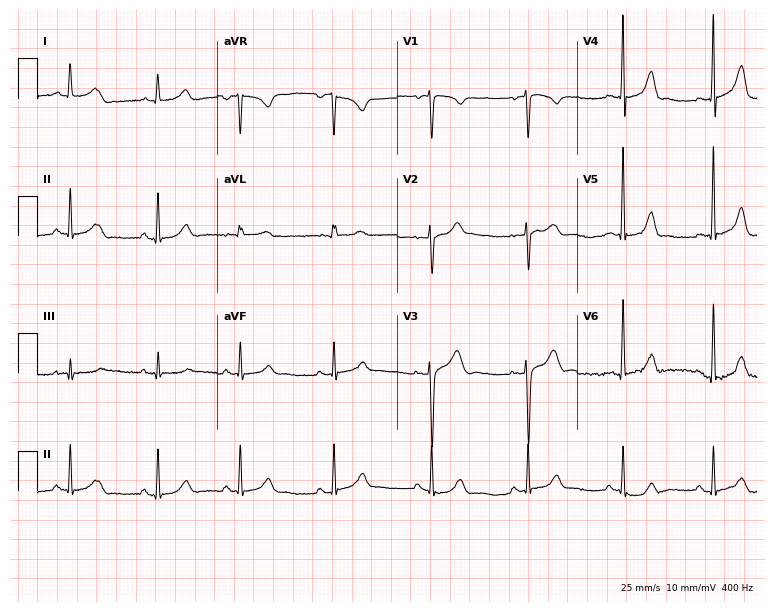
Resting 12-lead electrocardiogram. Patient: a woman, 26 years old. Read as a normal ECG.